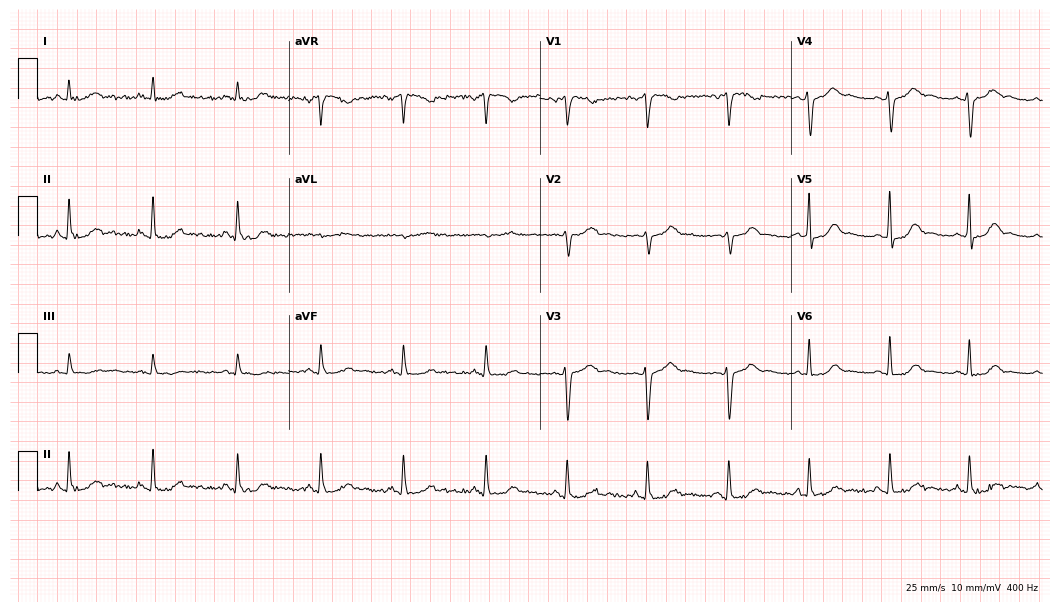
Standard 12-lead ECG recorded from a woman, 50 years old (10.2-second recording at 400 Hz). None of these six findings is recorded: first-degree AV block, right bundle branch block, left bundle branch block, sinus bradycardia, atrial fibrillation, sinus tachycardia.